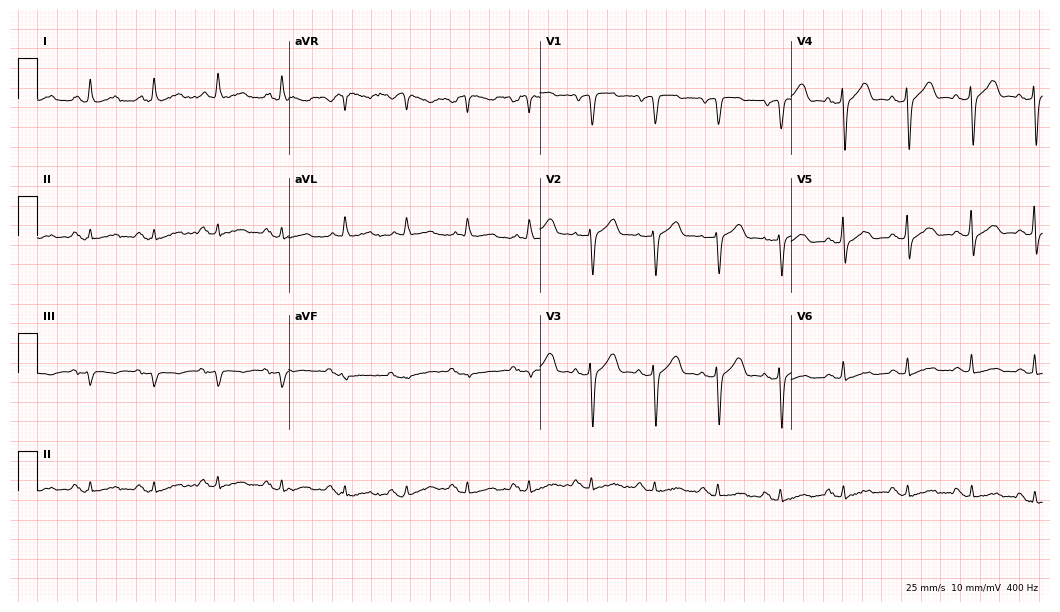
Standard 12-lead ECG recorded from a male, 67 years old (10.2-second recording at 400 Hz). Read as a normal ECG.